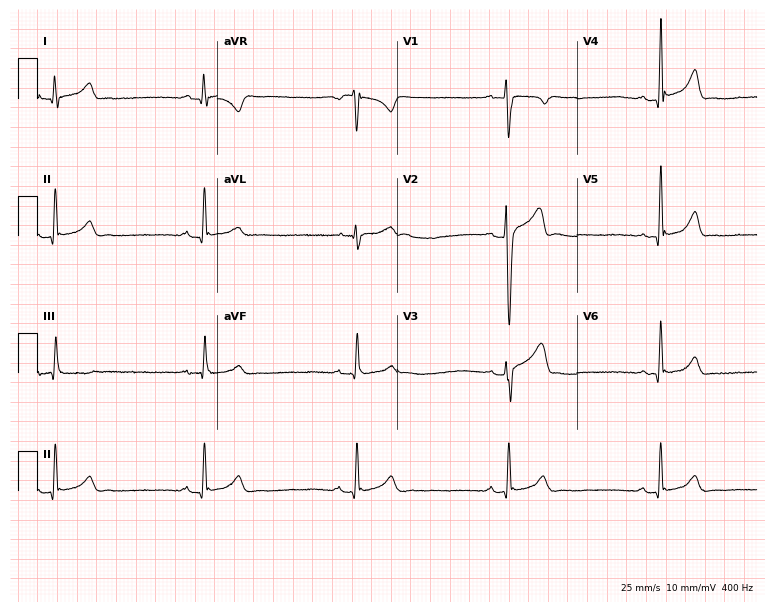
Electrocardiogram (7.3-second recording at 400 Hz), a male, 25 years old. Of the six screened findings (first-degree AV block, right bundle branch block (RBBB), left bundle branch block (LBBB), sinus bradycardia, atrial fibrillation (AF), sinus tachycardia), none is recorded.